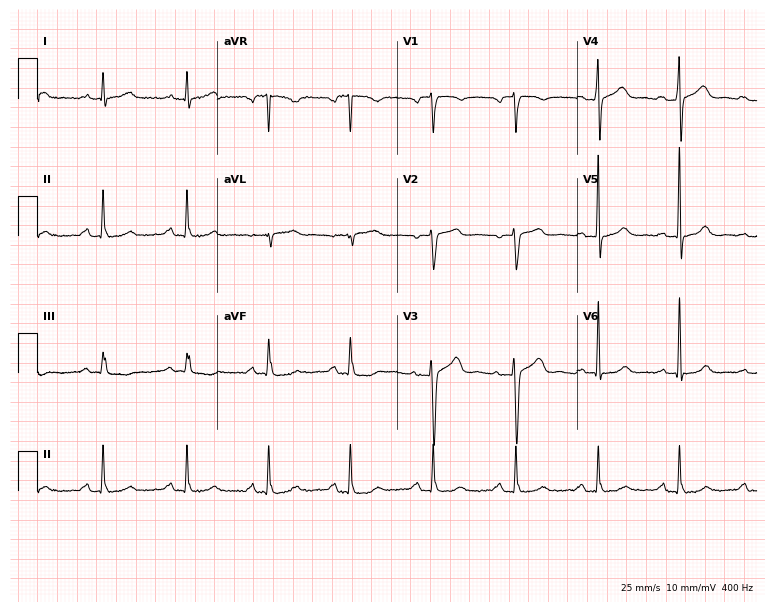
ECG (7.3-second recording at 400 Hz) — a 49-year-old man. Labelled as a normal ECG.